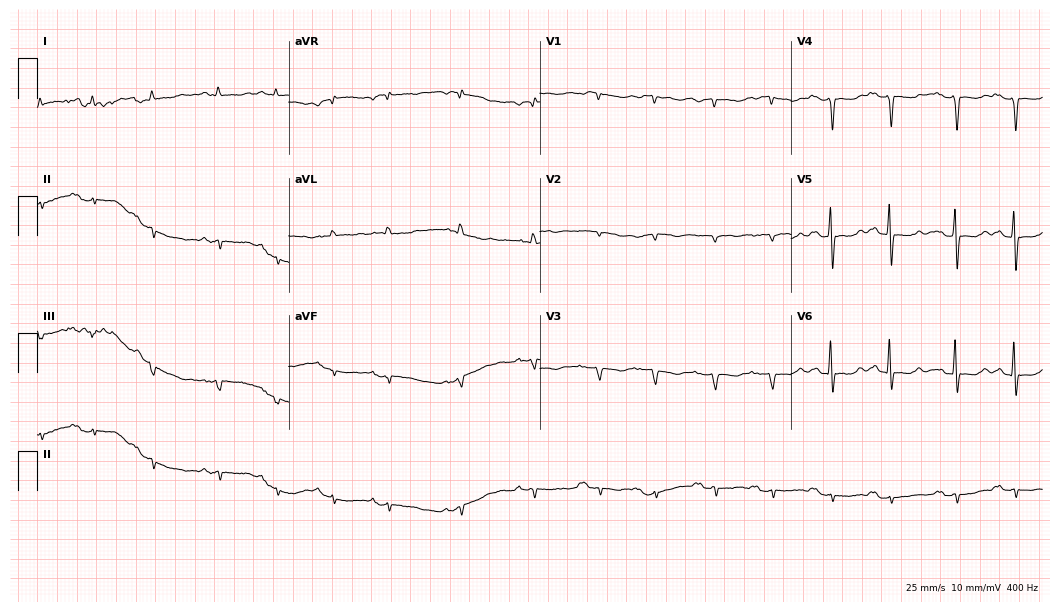
ECG — a 79-year-old woman. Screened for six findings — first-degree AV block, right bundle branch block, left bundle branch block, sinus bradycardia, atrial fibrillation, sinus tachycardia — none is recorded. Only these six findings were labelled.